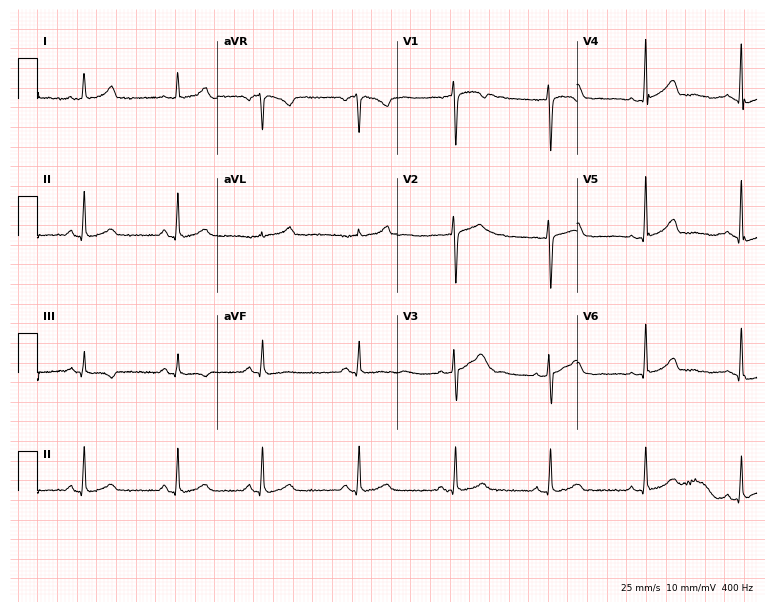
12-lead ECG from a 42-year-old woman (7.3-second recording at 400 Hz). Recorded interpretation: within normal limits.